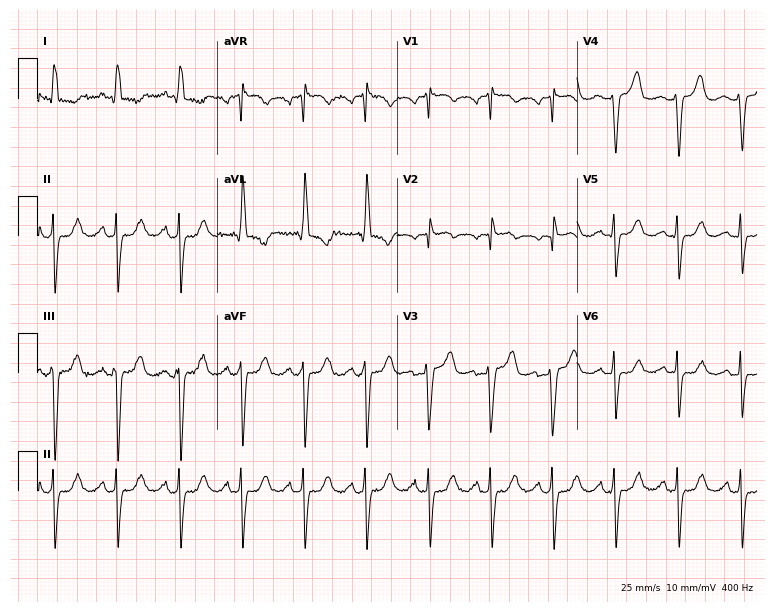
12-lead ECG from a female patient, 74 years old. No first-degree AV block, right bundle branch block (RBBB), left bundle branch block (LBBB), sinus bradycardia, atrial fibrillation (AF) or sinus tachycardia recorded for this tracing.